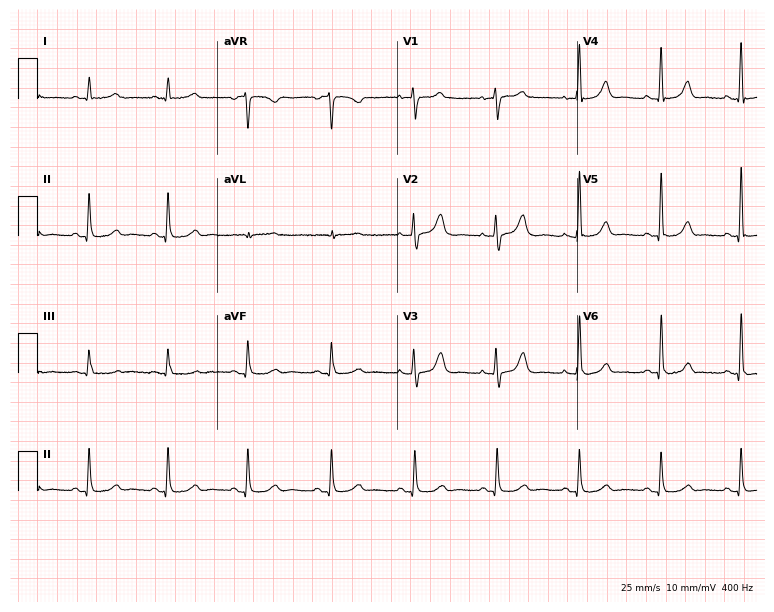
Electrocardiogram (7.3-second recording at 400 Hz), a woman, 75 years old. Overall reading on record: normal ECG.